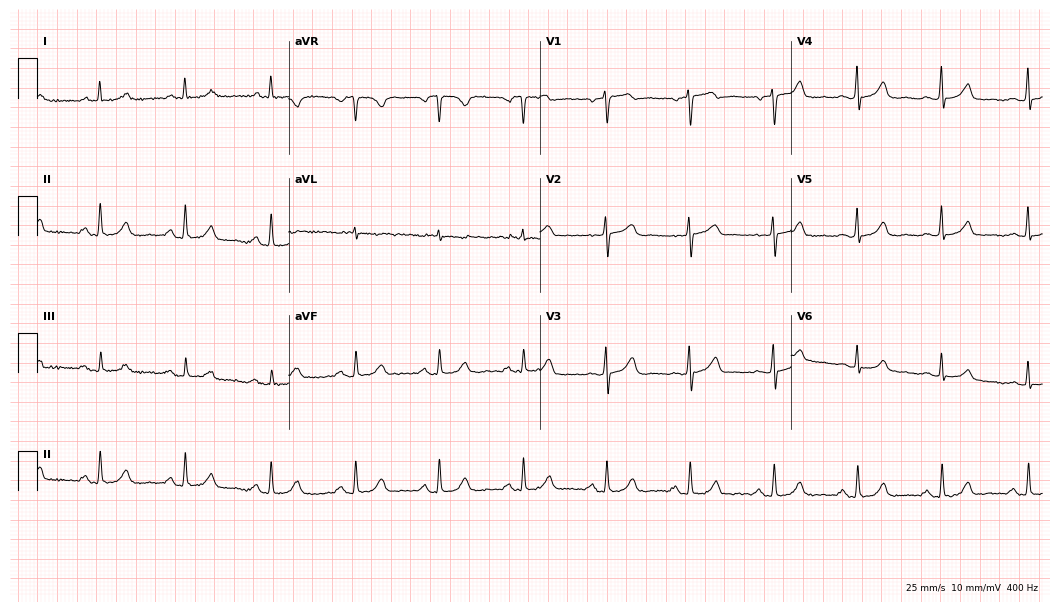
Resting 12-lead electrocardiogram (10.2-second recording at 400 Hz). Patient: a woman, 64 years old. Read as a normal ECG.